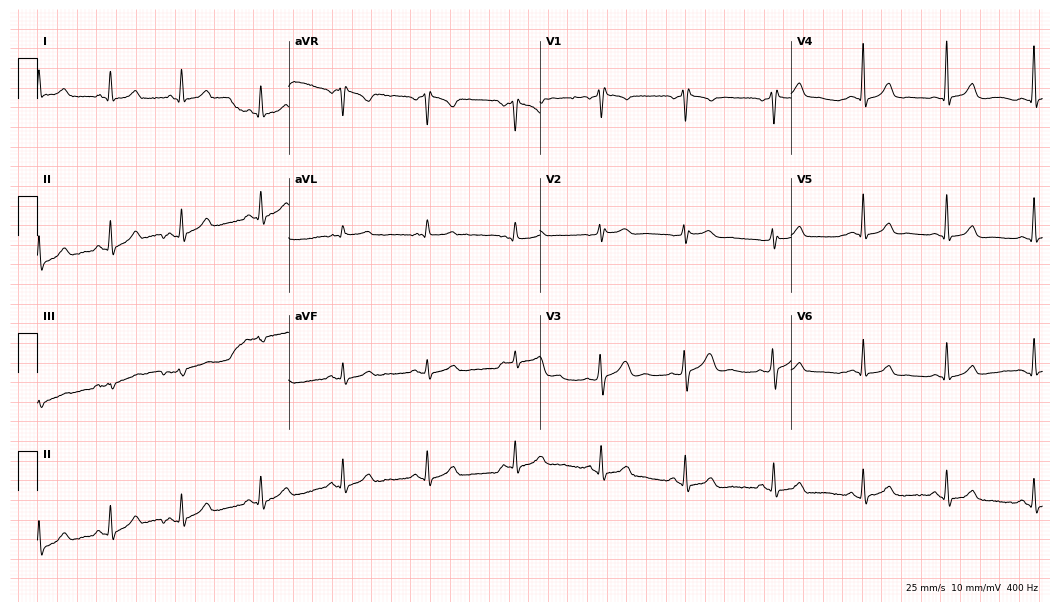
12-lead ECG from a 43-year-old woman. Recorded interpretation: within normal limits.